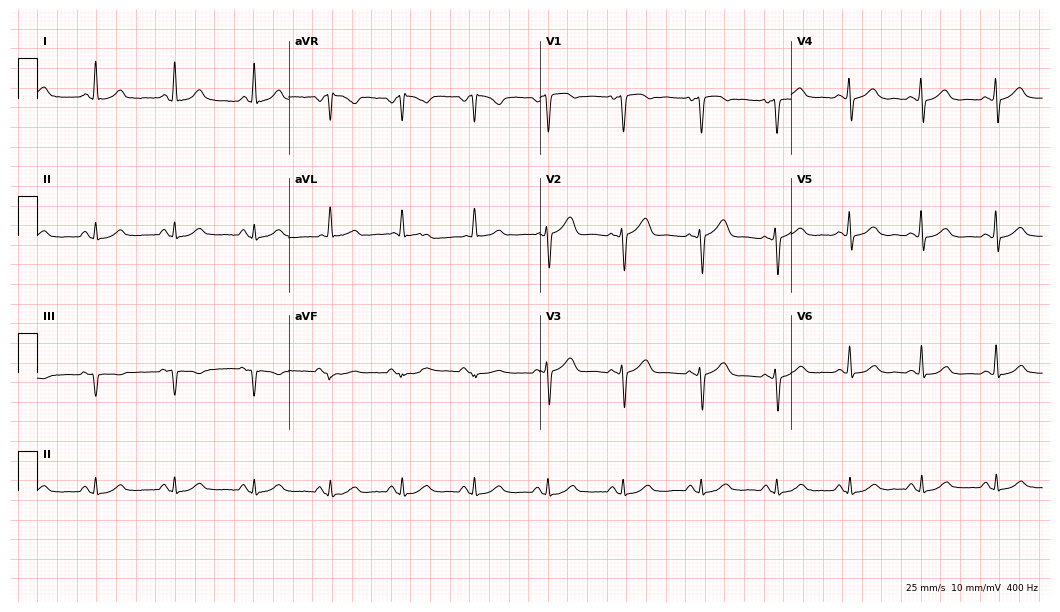
12-lead ECG from a 62-year-old male. No first-degree AV block, right bundle branch block (RBBB), left bundle branch block (LBBB), sinus bradycardia, atrial fibrillation (AF) or sinus tachycardia recorded for this tracing. Other findings, if any, are not listed.